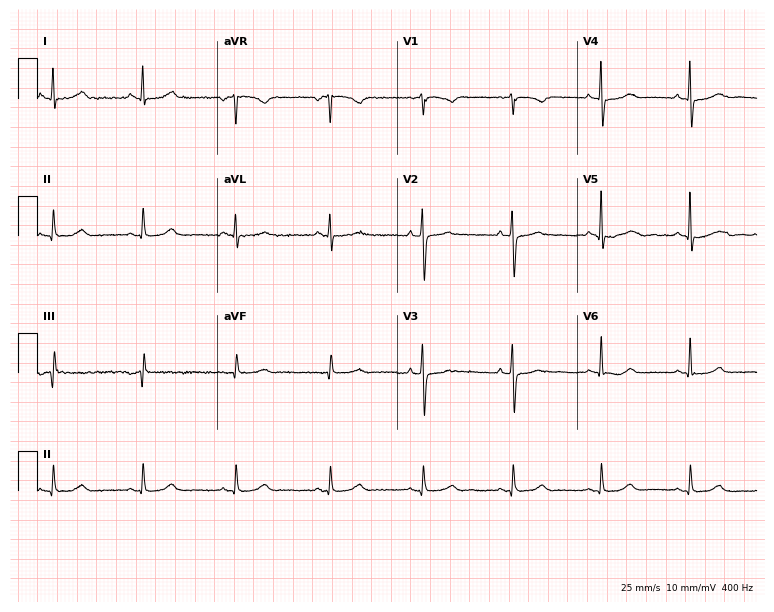
12-lead ECG from a 41-year-old female patient. No first-degree AV block, right bundle branch block, left bundle branch block, sinus bradycardia, atrial fibrillation or sinus tachycardia recorded for this tracing. Other findings, if any, are not listed.